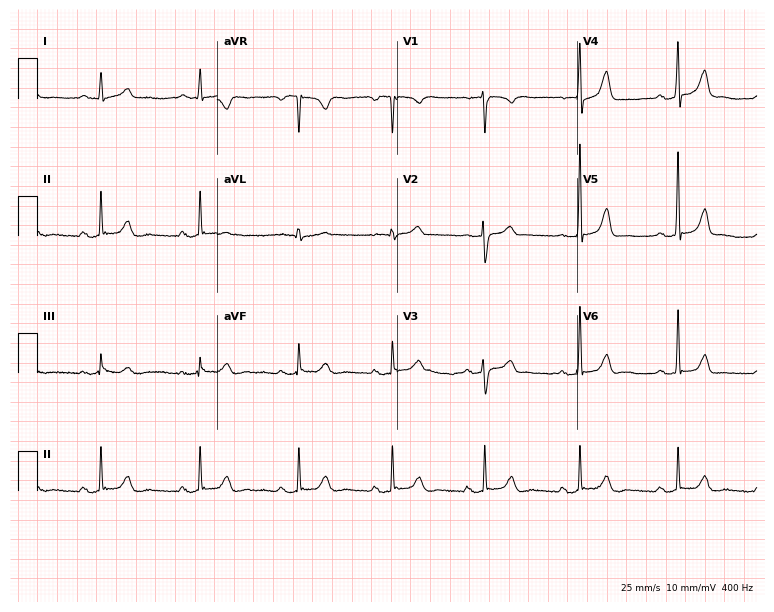
12-lead ECG (7.3-second recording at 400 Hz) from a female patient, 43 years old. Labelled as a normal ECG.